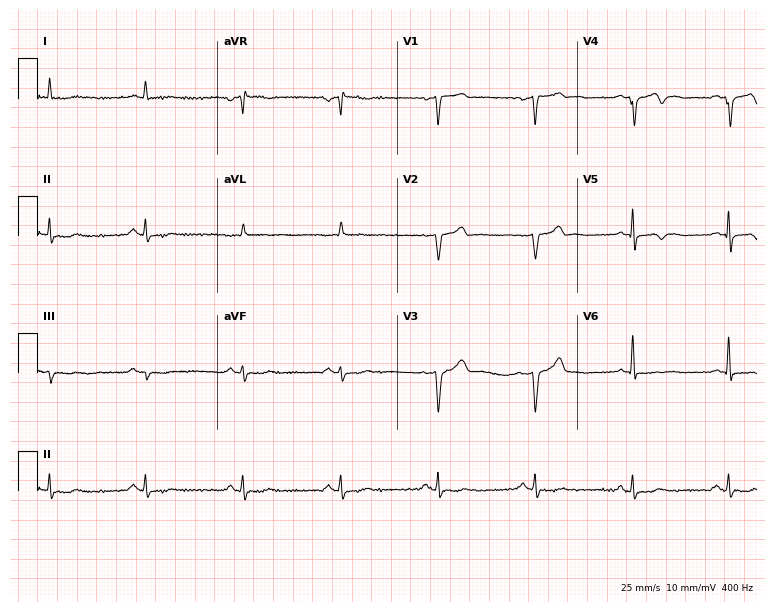
12-lead ECG from a man, 62 years old (7.3-second recording at 400 Hz). No first-degree AV block, right bundle branch block, left bundle branch block, sinus bradycardia, atrial fibrillation or sinus tachycardia recorded for this tracing. Findings outside these six are not listed.